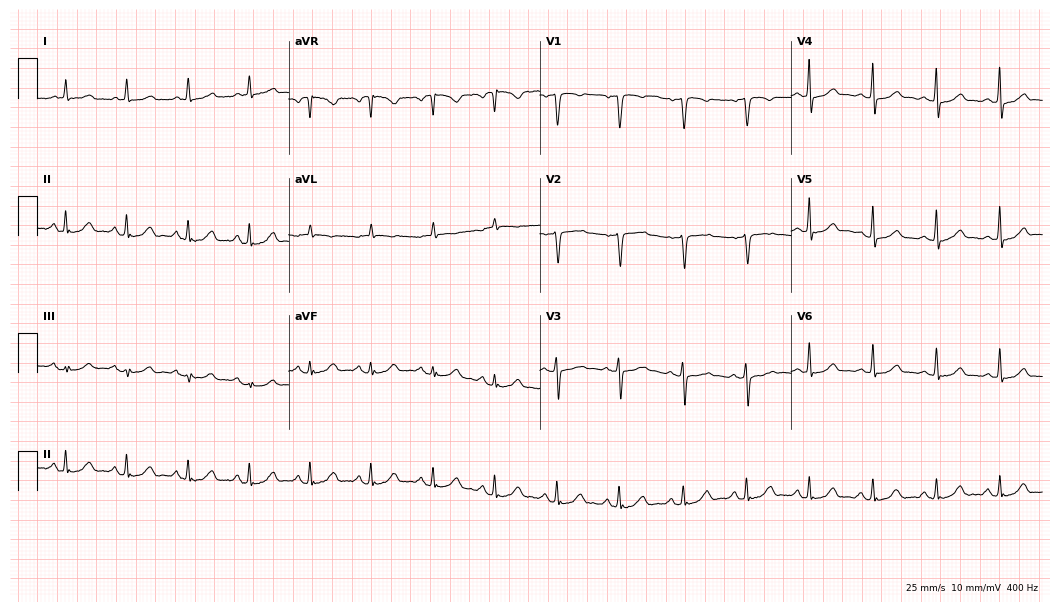
Resting 12-lead electrocardiogram (10.2-second recording at 400 Hz). Patient: a 66-year-old female. None of these six findings is recorded: first-degree AV block, right bundle branch block, left bundle branch block, sinus bradycardia, atrial fibrillation, sinus tachycardia. Only these six findings were labelled.